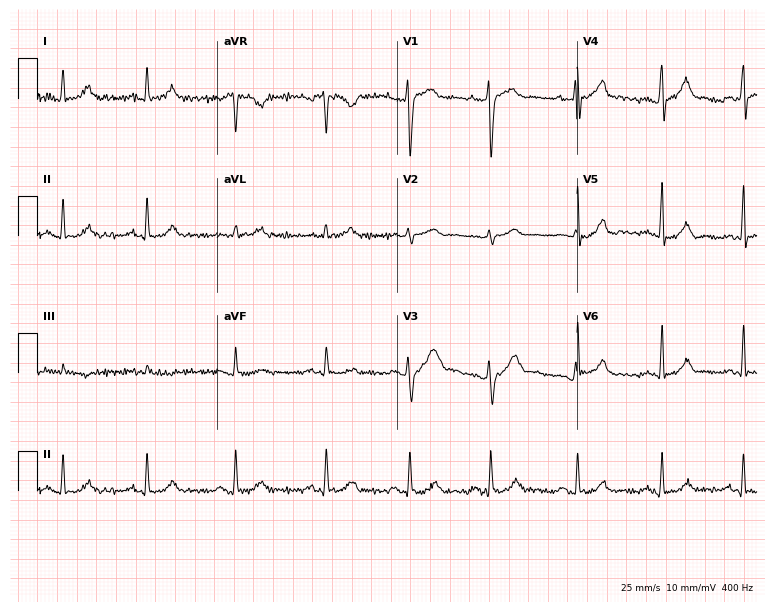
ECG (7.3-second recording at 400 Hz) — a 33-year-old man. Labelled as a normal ECG.